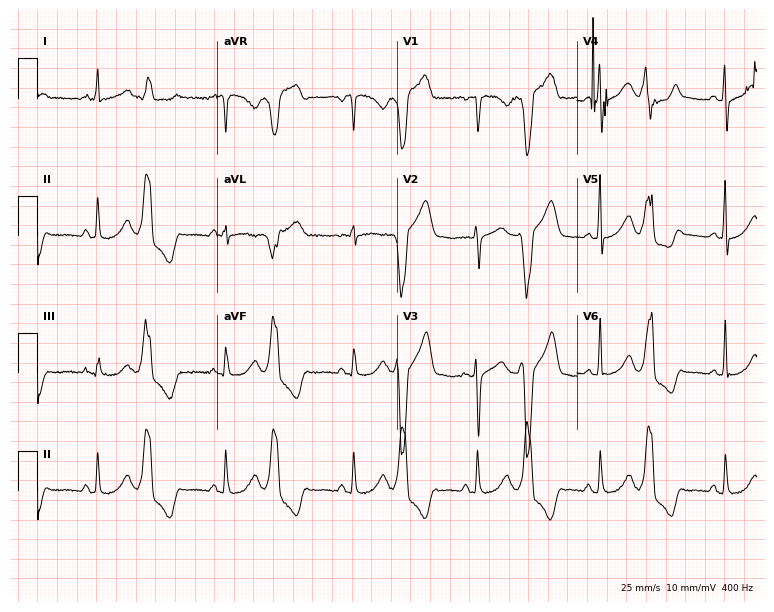
ECG (7.3-second recording at 400 Hz) — a 31-year-old female patient. Screened for six findings — first-degree AV block, right bundle branch block, left bundle branch block, sinus bradycardia, atrial fibrillation, sinus tachycardia — none is recorded.